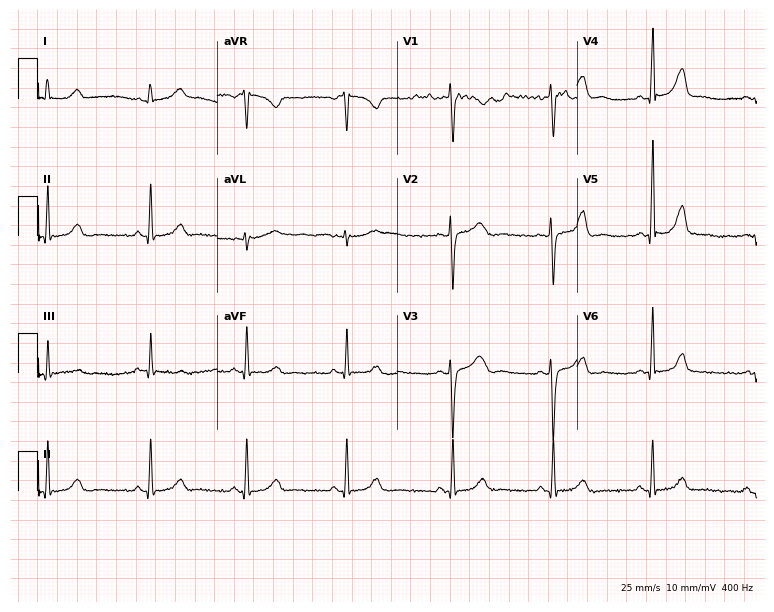
Electrocardiogram, a 27-year-old woman. Overall reading on record: normal ECG.